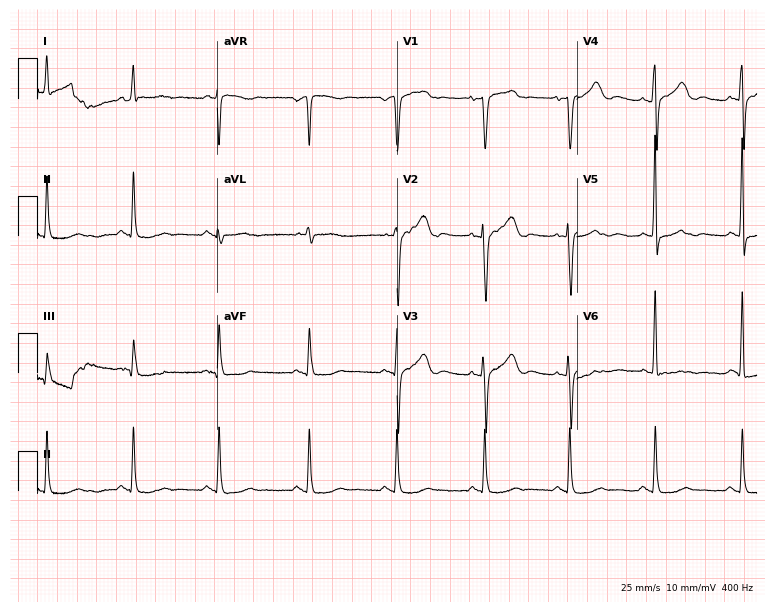
12-lead ECG from a 69-year-old woman. No first-degree AV block, right bundle branch block, left bundle branch block, sinus bradycardia, atrial fibrillation or sinus tachycardia recorded for this tracing.